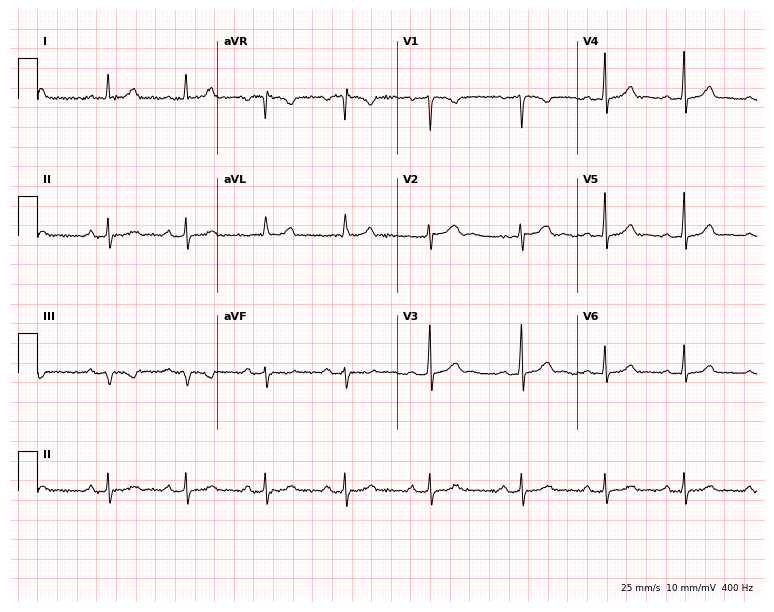
ECG — a 29-year-old woman. Screened for six findings — first-degree AV block, right bundle branch block, left bundle branch block, sinus bradycardia, atrial fibrillation, sinus tachycardia — none is recorded.